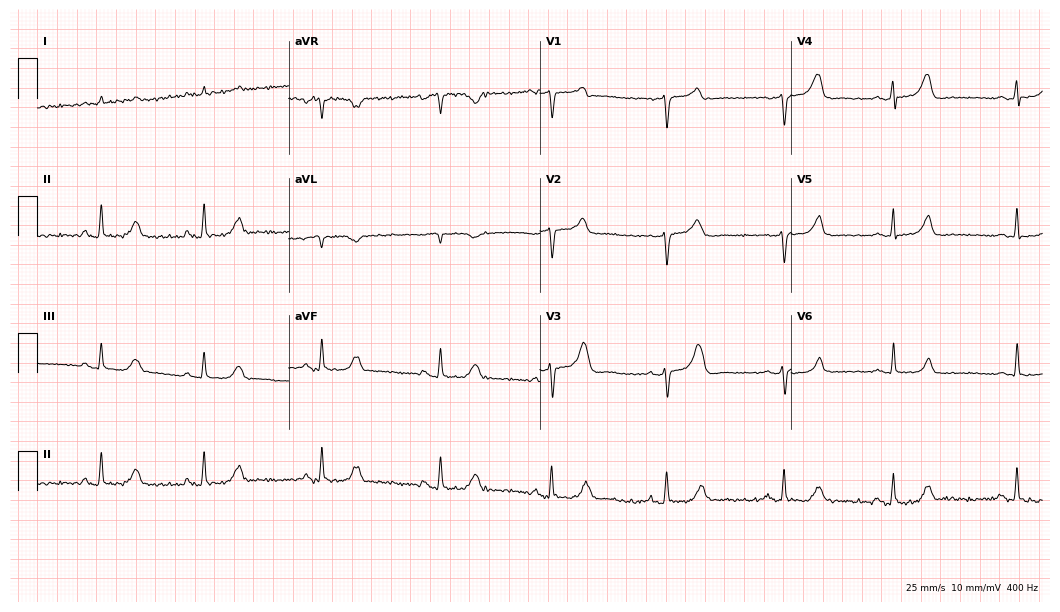
12-lead ECG from a male, 71 years old (10.2-second recording at 400 Hz). Recorded interpretation: within normal limits.